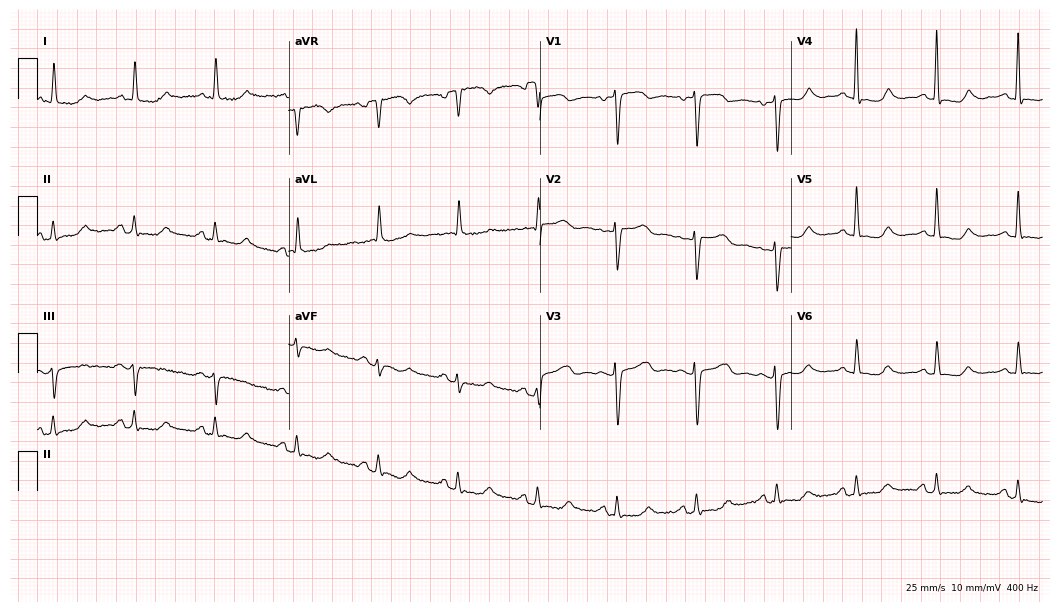
12-lead ECG from an 81-year-old woman. No first-degree AV block, right bundle branch block, left bundle branch block, sinus bradycardia, atrial fibrillation or sinus tachycardia recorded for this tracing.